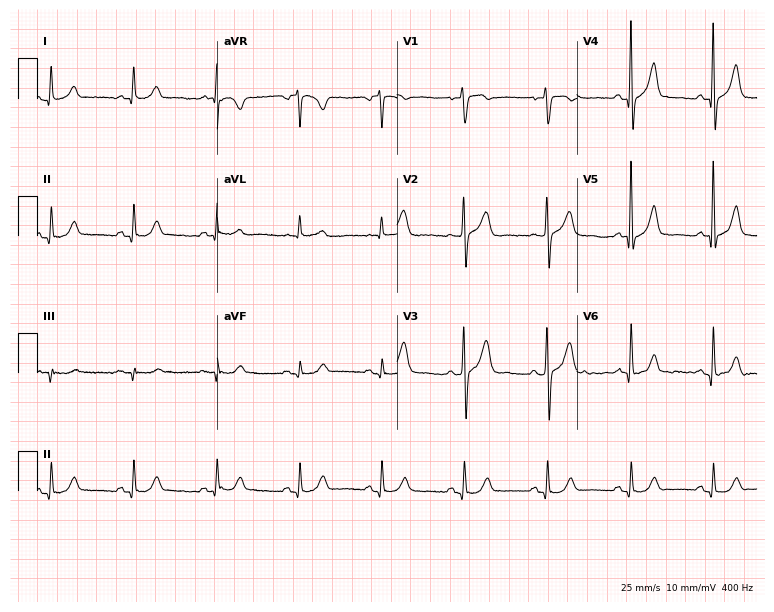
ECG (7.3-second recording at 400 Hz) — a man, 68 years old. Labelled as a normal ECG.